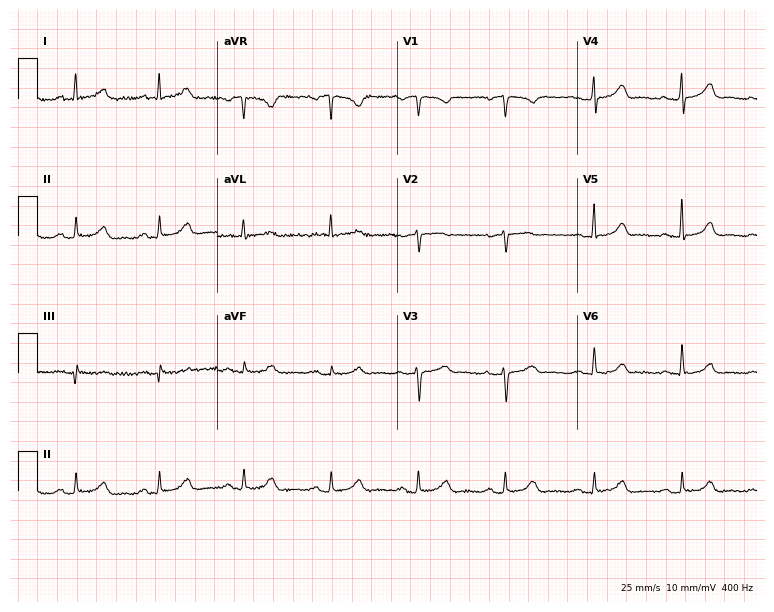
12-lead ECG from a woman, 55 years old (7.3-second recording at 400 Hz). Recorded interpretation: within normal limits.